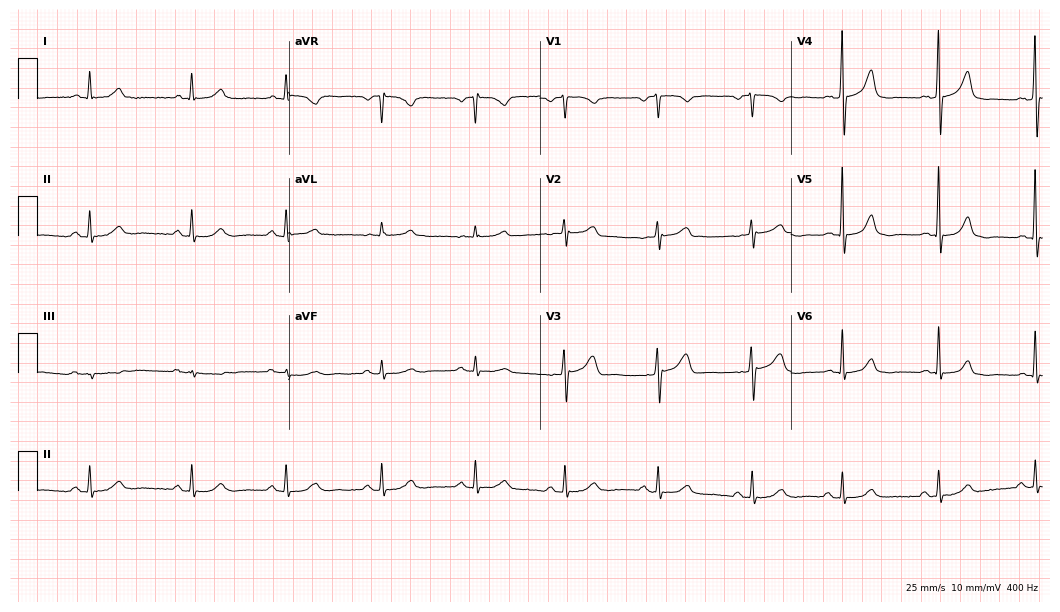
Electrocardiogram (10.2-second recording at 400 Hz), a woman, 67 years old. Overall reading on record: normal ECG.